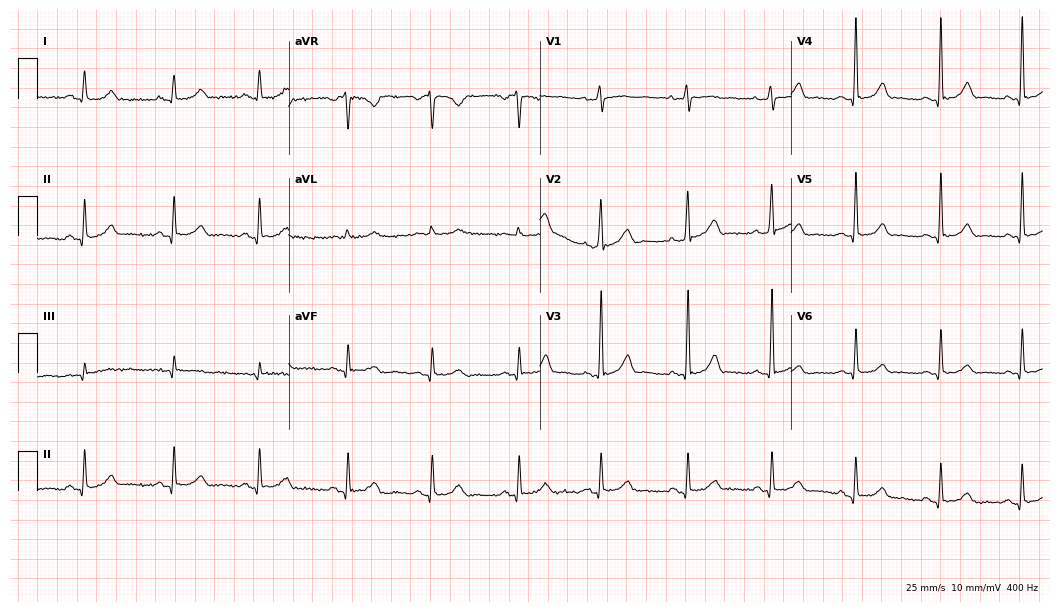
Resting 12-lead electrocardiogram (10.2-second recording at 400 Hz). Patient: a 37-year-old female. None of these six findings is recorded: first-degree AV block, right bundle branch block, left bundle branch block, sinus bradycardia, atrial fibrillation, sinus tachycardia. Findings outside these six are not listed.